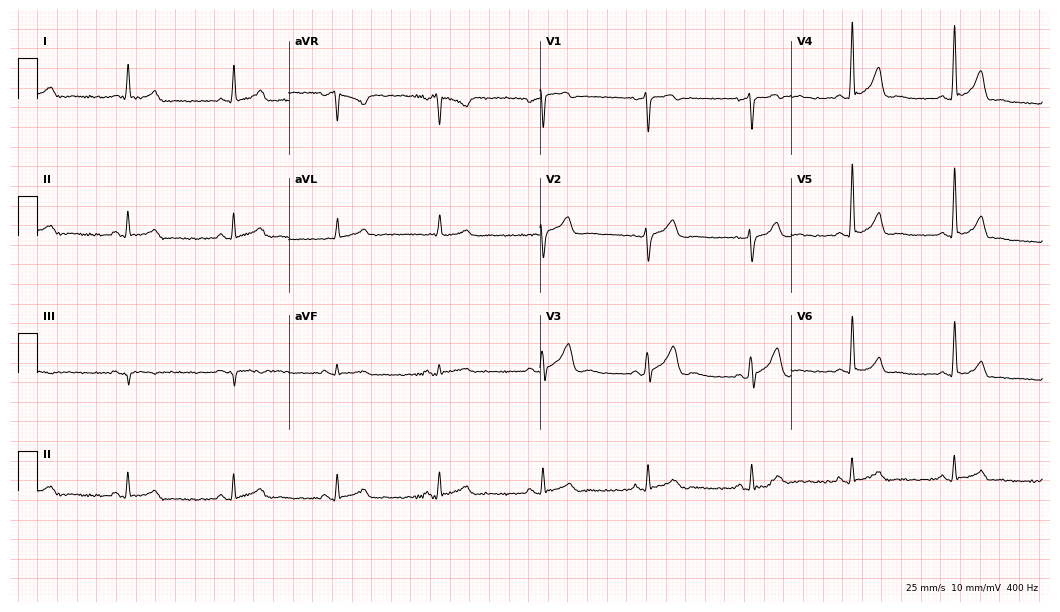
12-lead ECG (10.2-second recording at 400 Hz) from a 48-year-old man. Screened for six findings — first-degree AV block, right bundle branch block, left bundle branch block, sinus bradycardia, atrial fibrillation, sinus tachycardia — none is recorded. Other findings, if any, are not listed.